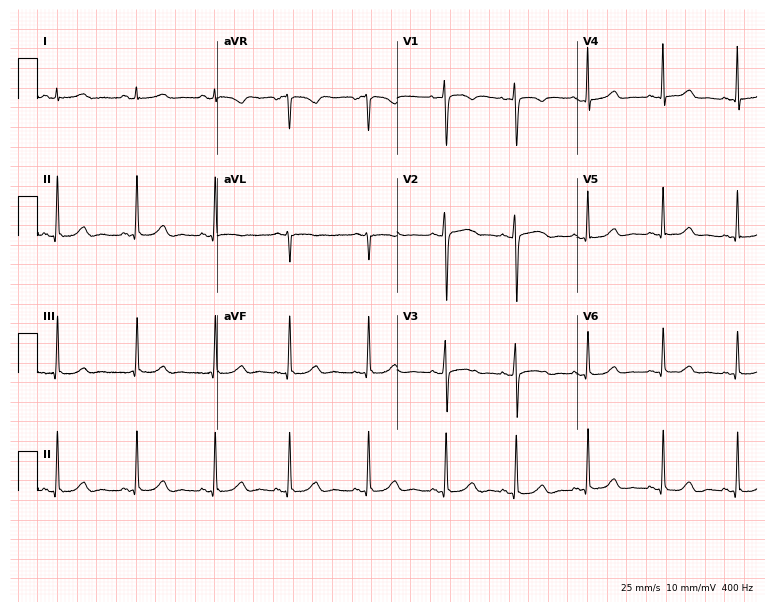
Standard 12-lead ECG recorded from a female, 26 years old (7.3-second recording at 400 Hz). Read as a normal ECG.